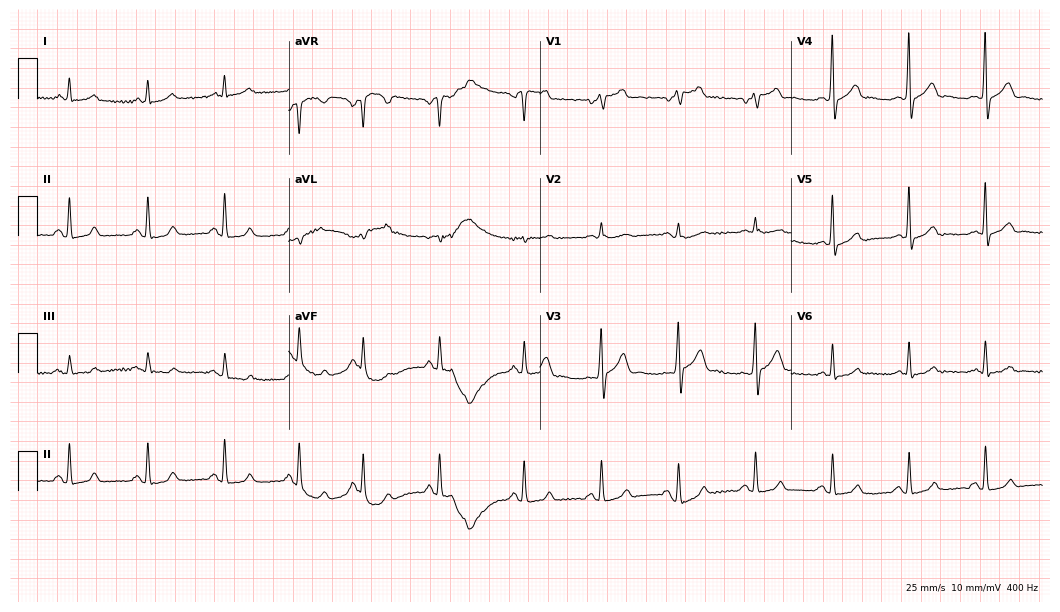
ECG — a 63-year-old male. Screened for six findings — first-degree AV block, right bundle branch block, left bundle branch block, sinus bradycardia, atrial fibrillation, sinus tachycardia — none is recorded.